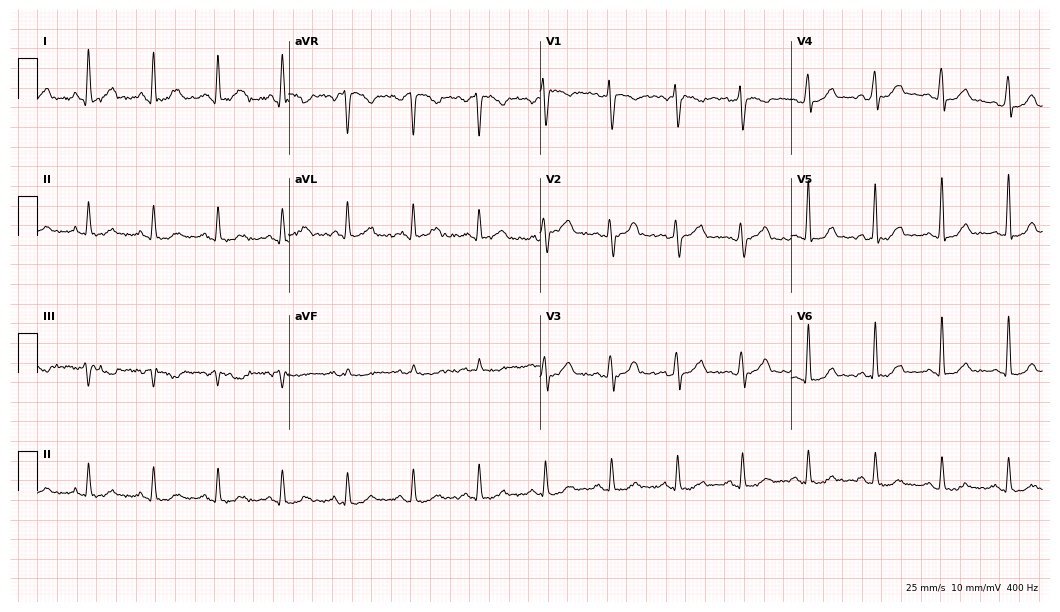
12-lead ECG (10.2-second recording at 400 Hz) from a 42-year-old woman. Screened for six findings — first-degree AV block, right bundle branch block, left bundle branch block, sinus bradycardia, atrial fibrillation, sinus tachycardia — none is recorded. Other findings, if any, are not listed.